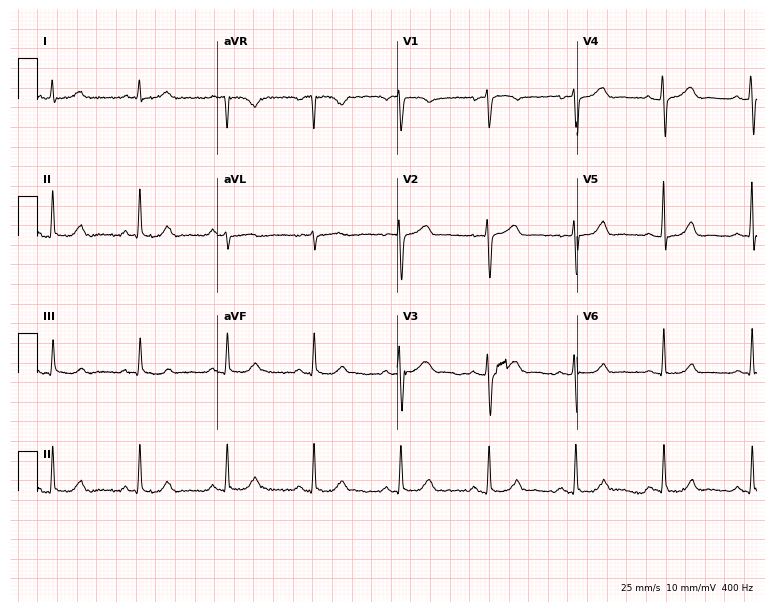
Resting 12-lead electrocardiogram (7.3-second recording at 400 Hz). Patient: a female, 68 years old. None of these six findings is recorded: first-degree AV block, right bundle branch block, left bundle branch block, sinus bradycardia, atrial fibrillation, sinus tachycardia.